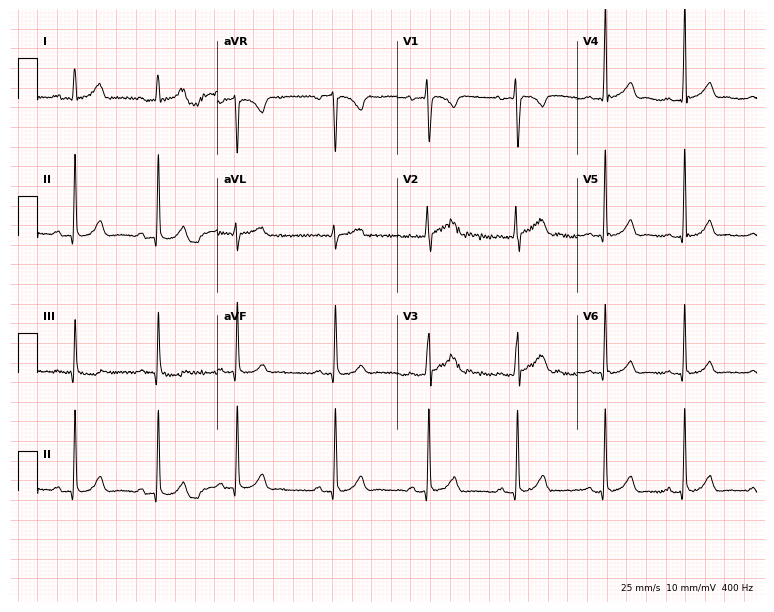
Resting 12-lead electrocardiogram. Patient: a woman, 18 years old. Read as a normal ECG.